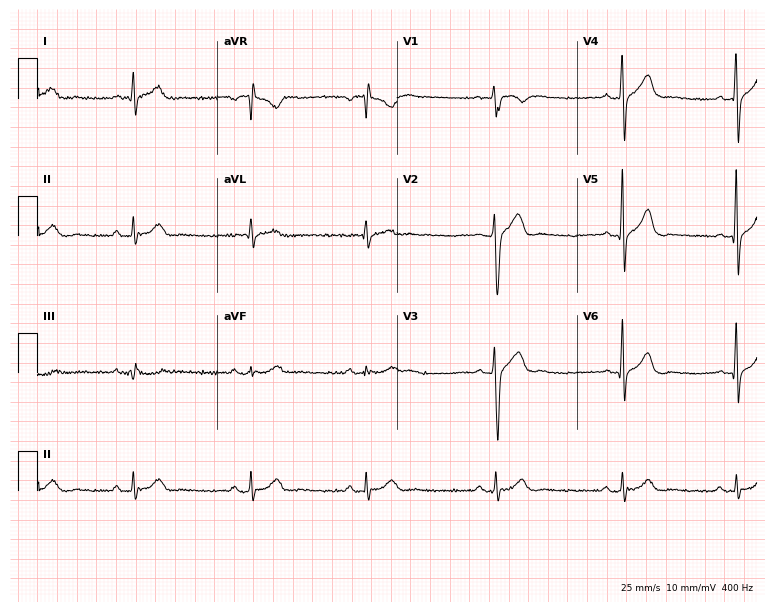
ECG (7.3-second recording at 400 Hz) — a male patient, 29 years old. Findings include sinus bradycardia (a sinus rate of 50 beats per minute or less).